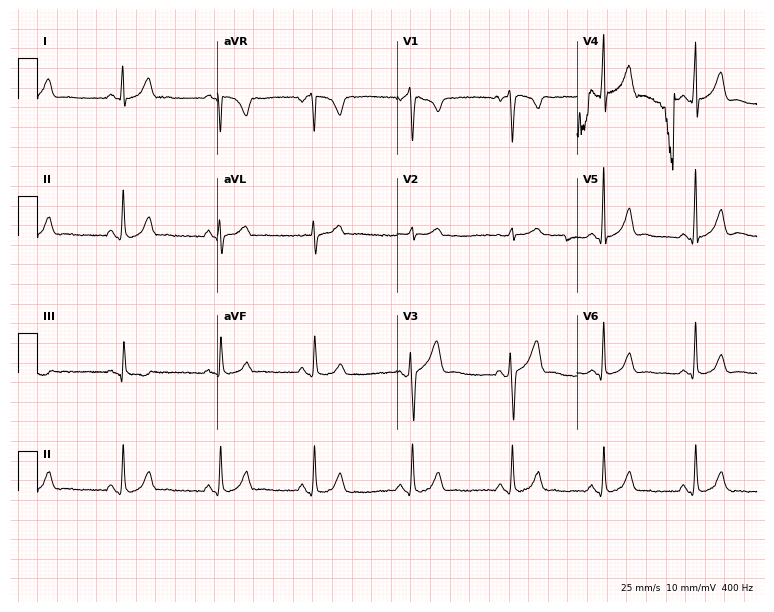
ECG (7.3-second recording at 400 Hz) — a 29-year-old man. Screened for six findings — first-degree AV block, right bundle branch block (RBBB), left bundle branch block (LBBB), sinus bradycardia, atrial fibrillation (AF), sinus tachycardia — none is recorded.